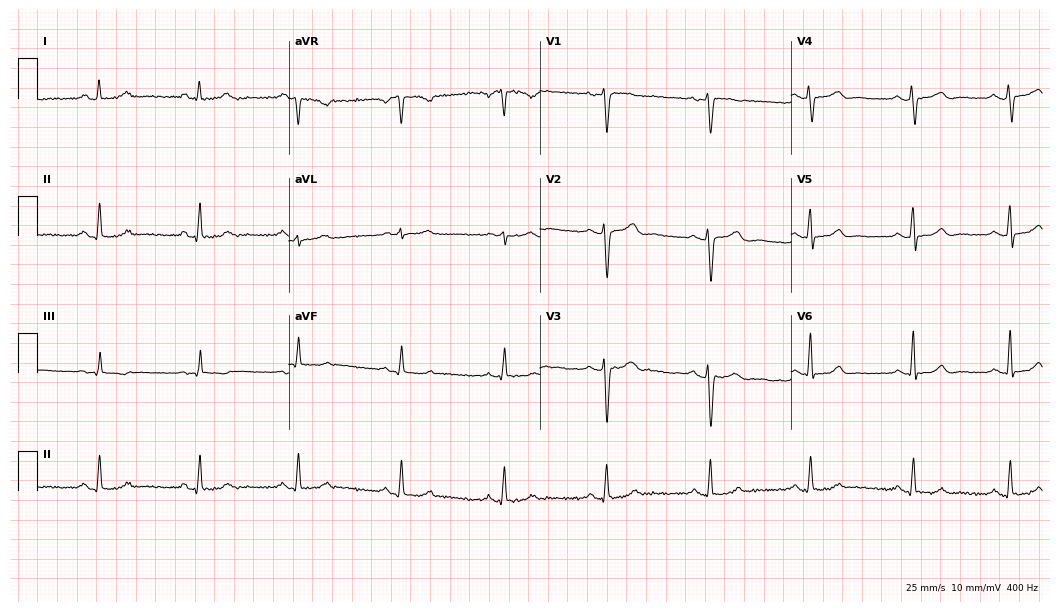
Standard 12-lead ECG recorded from a woman, 41 years old (10.2-second recording at 400 Hz). Read as a normal ECG.